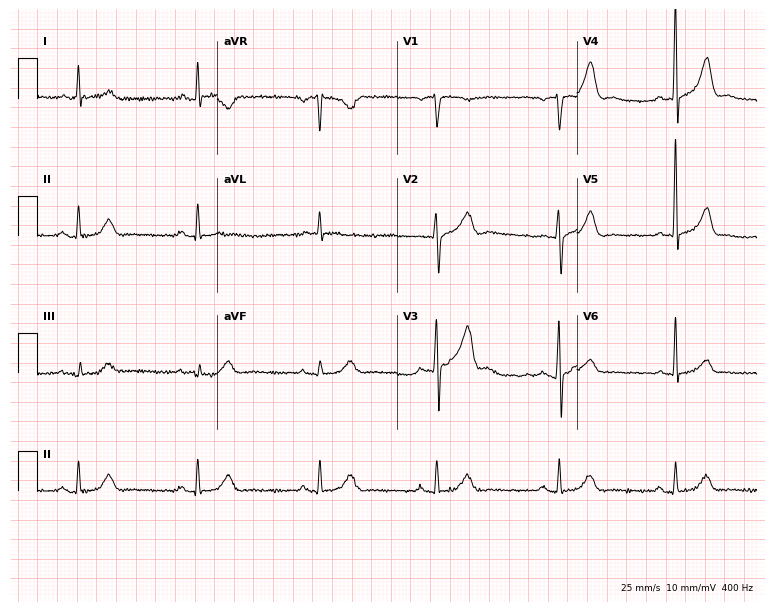
Resting 12-lead electrocardiogram. Patient: a male, 74 years old. None of these six findings is recorded: first-degree AV block, right bundle branch block, left bundle branch block, sinus bradycardia, atrial fibrillation, sinus tachycardia.